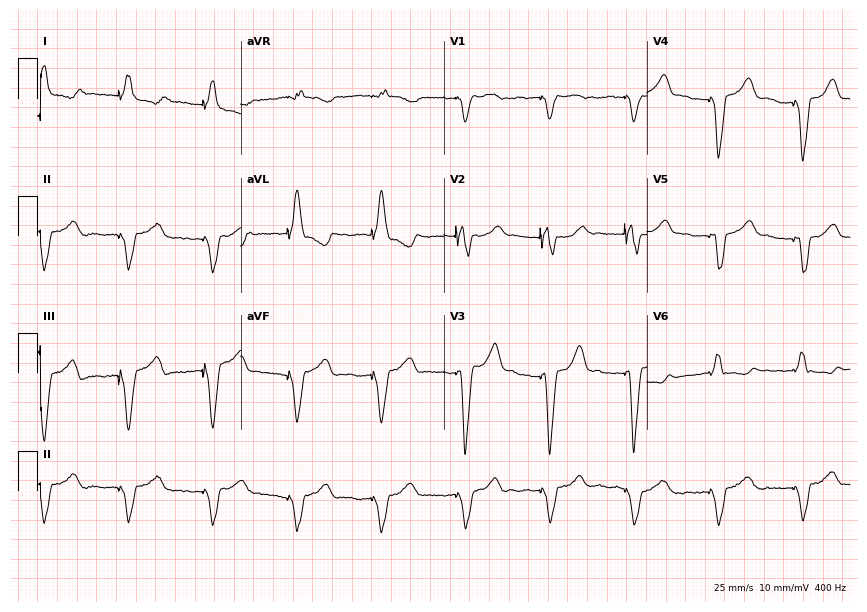
12-lead ECG from an 82-year-old female patient. Screened for six findings — first-degree AV block, right bundle branch block, left bundle branch block, sinus bradycardia, atrial fibrillation, sinus tachycardia — none is recorded. Other findings, if any, are not listed.